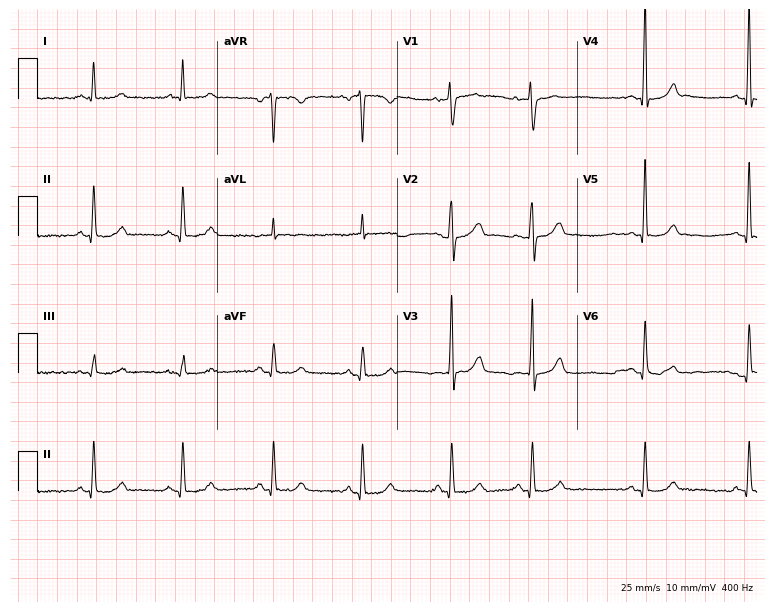
ECG — a 49-year-old female patient. Screened for six findings — first-degree AV block, right bundle branch block, left bundle branch block, sinus bradycardia, atrial fibrillation, sinus tachycardia — none is recorded. Only these six findings were labelled.